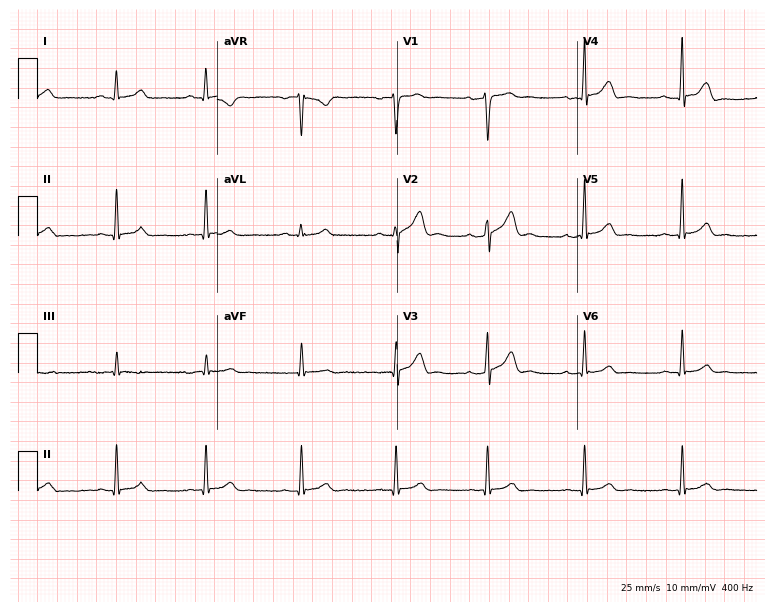
Standard 12-lead ECG recorded from a 30-year-old male patient (7.3-second recording at 400 Hz). None of these six findings is recorded: first-degree AV block, right bundle branch block, left bundle branch block, sinus bradycardia, atrial fibrillation, sinus tachycardia. Findings outside these six are not listed.